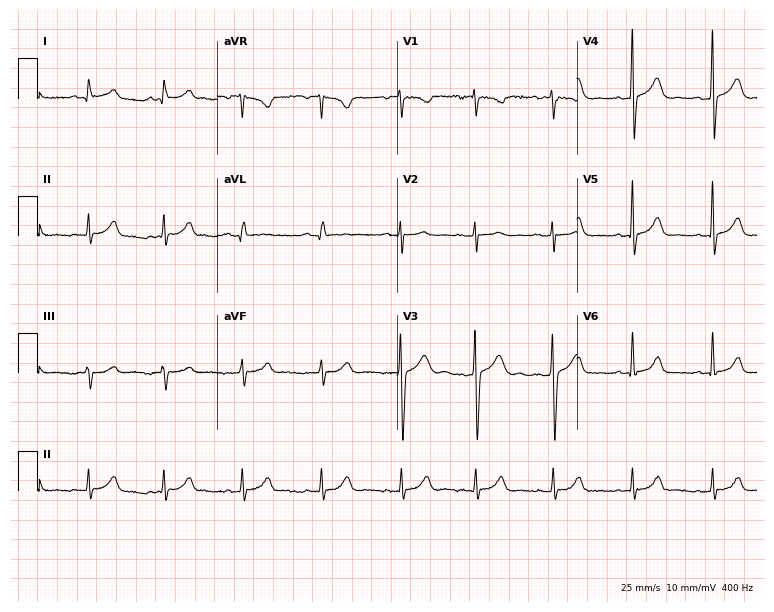
Electrocardiogram, a 33-year-old female patient. Overall reading on record: normal ECG.